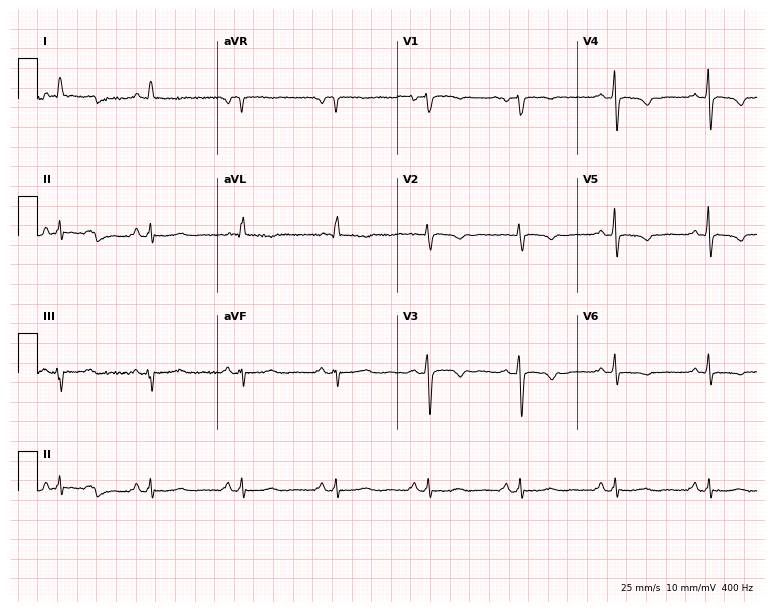
Electrocardiogram (7.3-second recording at 400 Hz), a 65-year-old woman. Of the six screened findings (first-degree AV block, right bundle branch block (RBBB), left bundle branch block (LBBB), sinus bradycardia, atrial fibrillation (AF), sinus tachycardia), none is recorded. Findings outside these six are not listed.